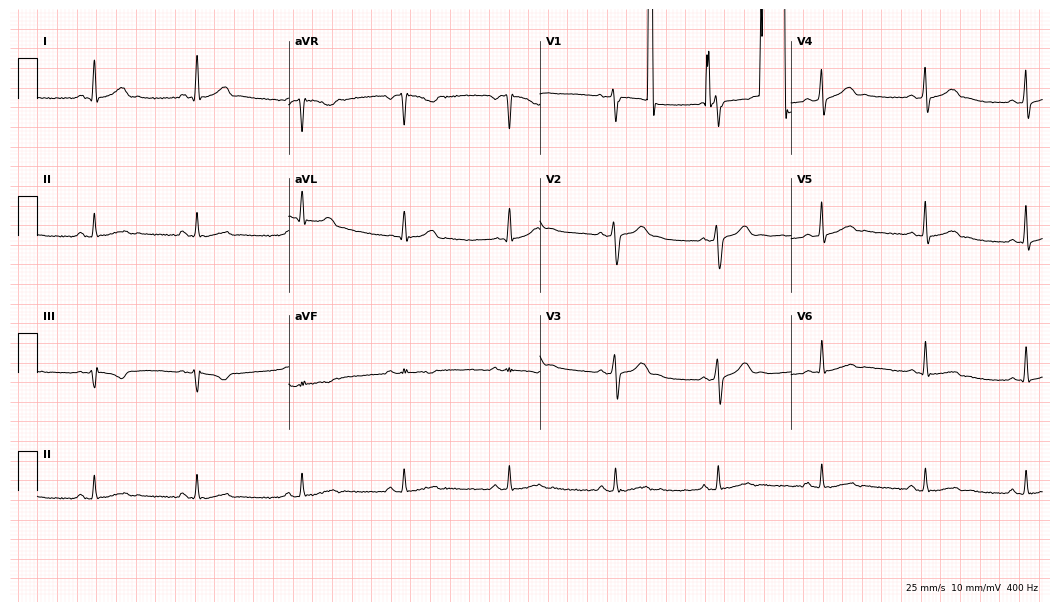
Resting 12-lead electrocardiogram. Patient: a 51-year-old male. None of these six findings is recorded: first-degree AV block, right bundle branch block, left bundle branch block, sinus bradycardia, atrial fibrillation, sinus tachycardia. Findings outside these six are not listed.